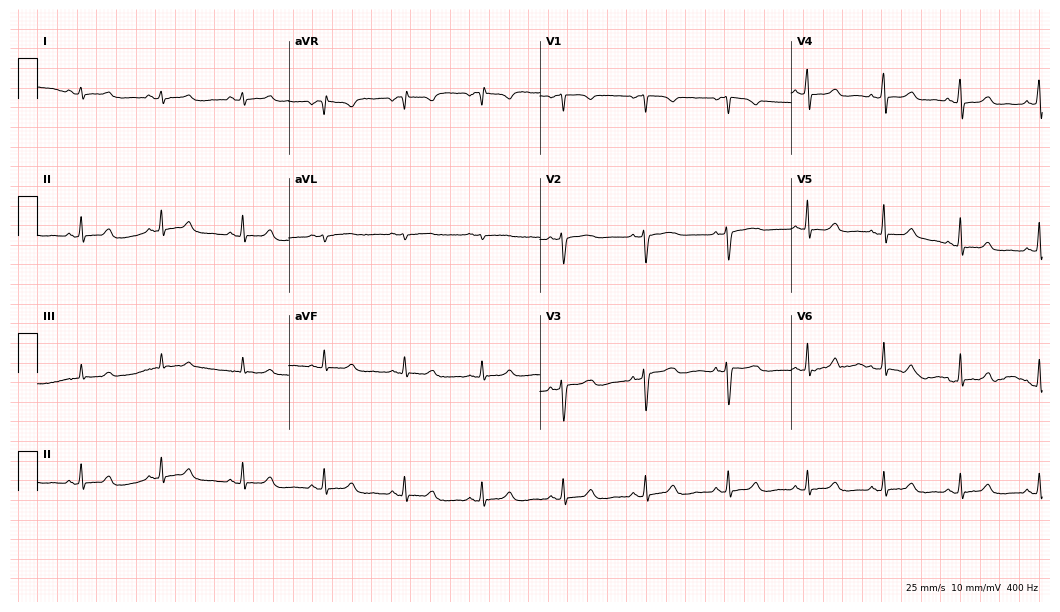
12-lead ECG from a female patient, 41 years old. Recorded interpretation: within normal limits.